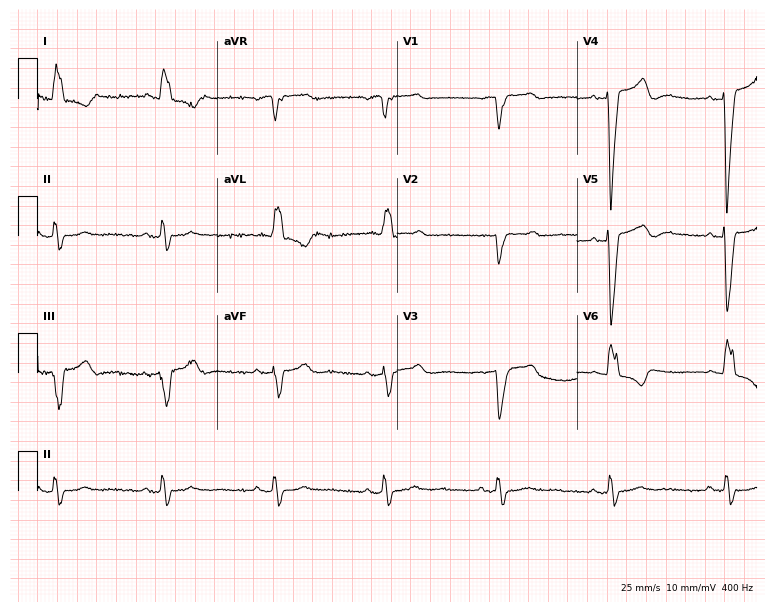
Electrocardiogram (7.3-second recording at 400 Hz), an 81-year-old woman. Interpretation includes left bundle branch block (LBBB).